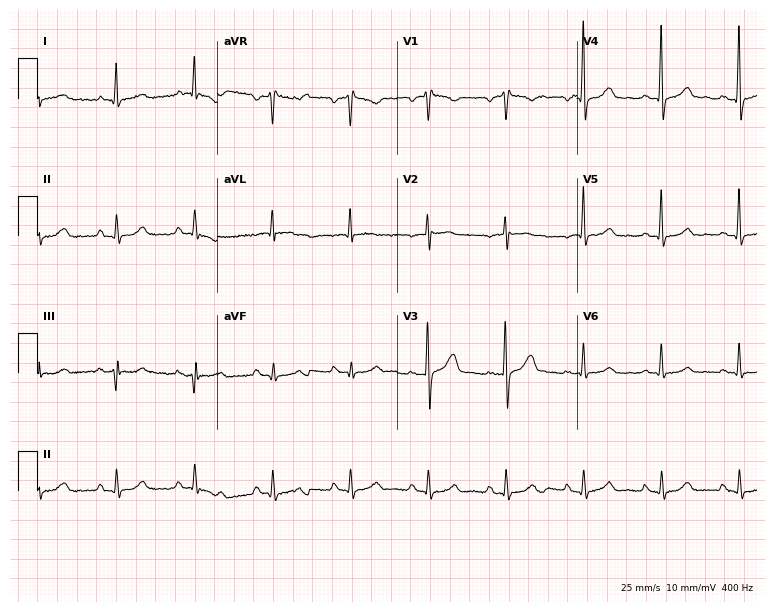
12-lead ECG from a 65-year-old male patient (7.3-second recording at 400 Hz). Recorded interpretation: within normal limits.